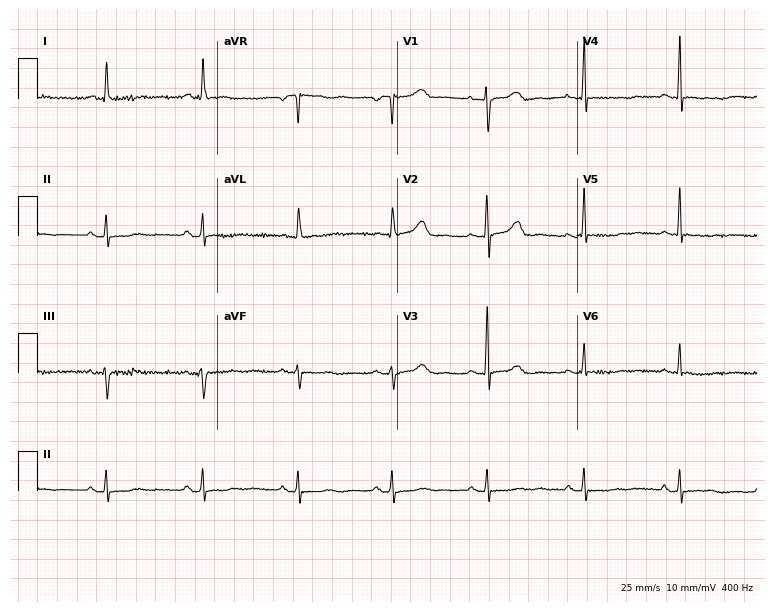
Electrocardiogram (7.3-second recording at 400 Hz), a 75-year-old woman. Of the six screened findings (first-degree AV block, right bundle branch block (RBBB), left bundle branch block (LBBB), sinus bradycardia, atrial fibrillation (AF), sinus tachycardia), none is recorded.